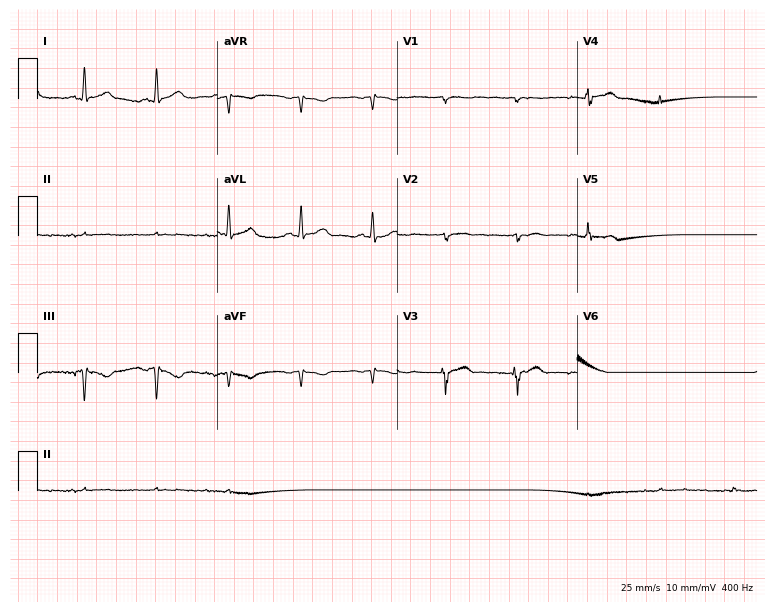
Resting 12-lead electrocardiogram. Patient: a 41-year-old man. None of these six findings is recorded: first-degree AV block, right bundle branch block, left bundle branch block, sinus bradycardia, atrial fibrillation, sinus tachycardia. Findings outside these six are not listed.